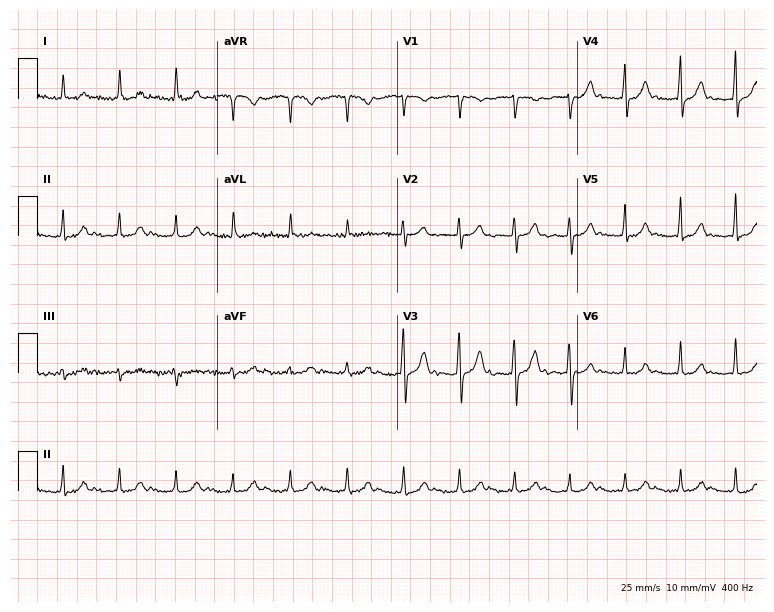
12-lead ECG (7.3-second recording at 400 Hz) from an 80-year-old woman. Findings include first-degree AV block, sinus tachycardia (a sinus rate of 100 beats per minute or more).